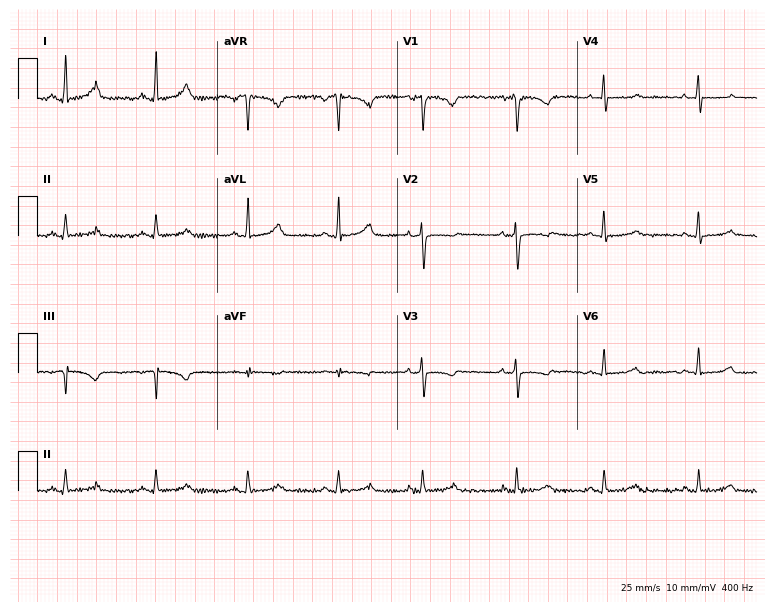
12-lead ECG from a 42-year-old female patient. Labelled as a normal ECG.